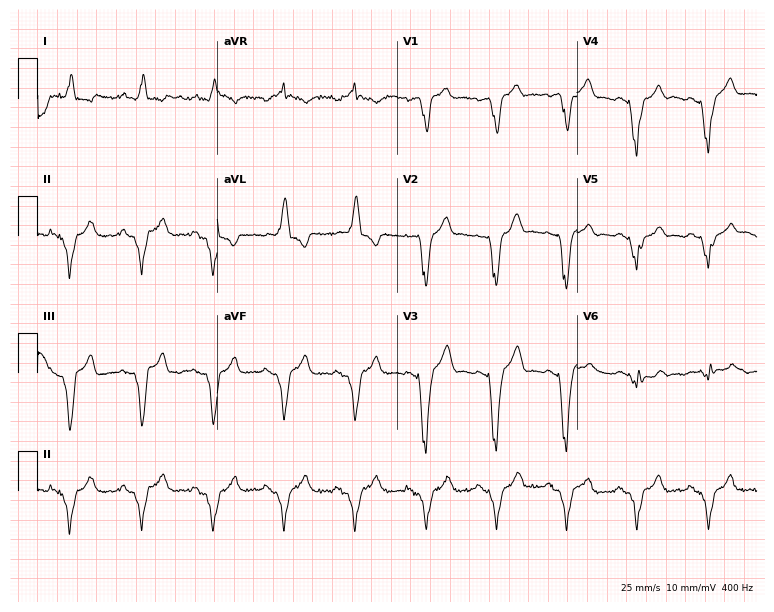
Standard 12-lead ECG recorded from a male patient, 79 years old (7.3-second recording at 400 Hz). The tracing shows left bundle branch block (LBBB).